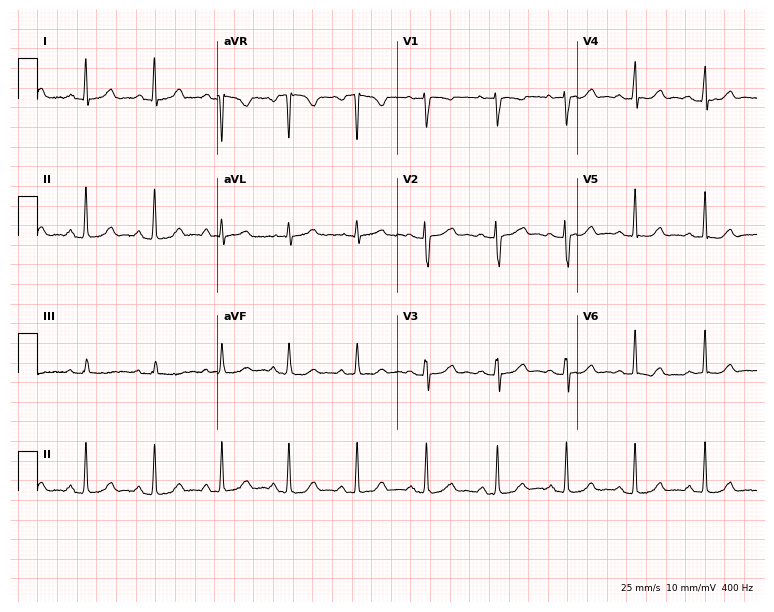
Resting 12-lead electrocardiogram. Patient: a female, 30 years old. None of these six findings is recorded: first-degree AV block, right bundle branch block, left bundle branch block, sinus bradycardia, atrial fibrillation, sinus tachycardia. Findings outside these six are not listed.